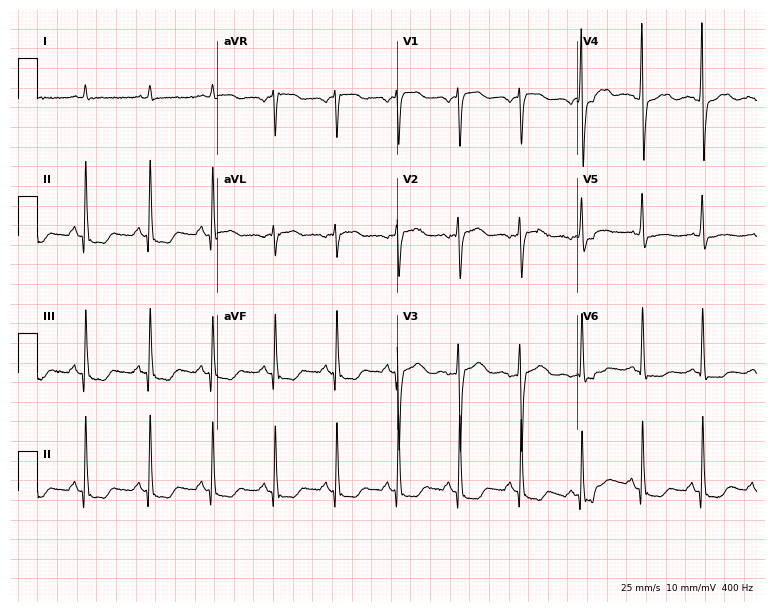
12-lead ECG from a 73-year-old man. Screened for six findings — first-degree AV block, right bundle branch block, left bundle branch block, sinus bradycardia, atrial fibrillation, sinus tachycardia — none is recorded.